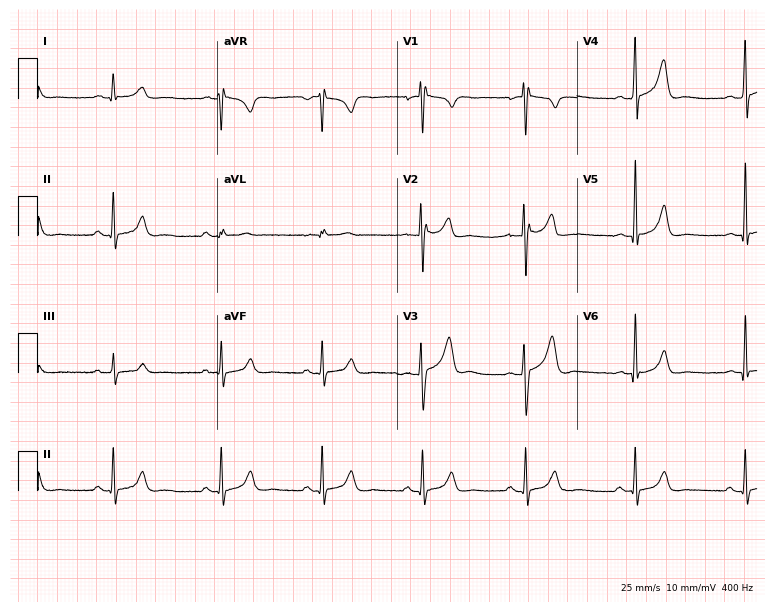
12-lead ECG from a 30-year-old male. Screened for six findings — first-degree AV block, right bundle branch block, left bundle branch block, sinus bradycardia, atrial fibrillation, sinus tachycardia — none is recorded. Findings outside these six are not listed.